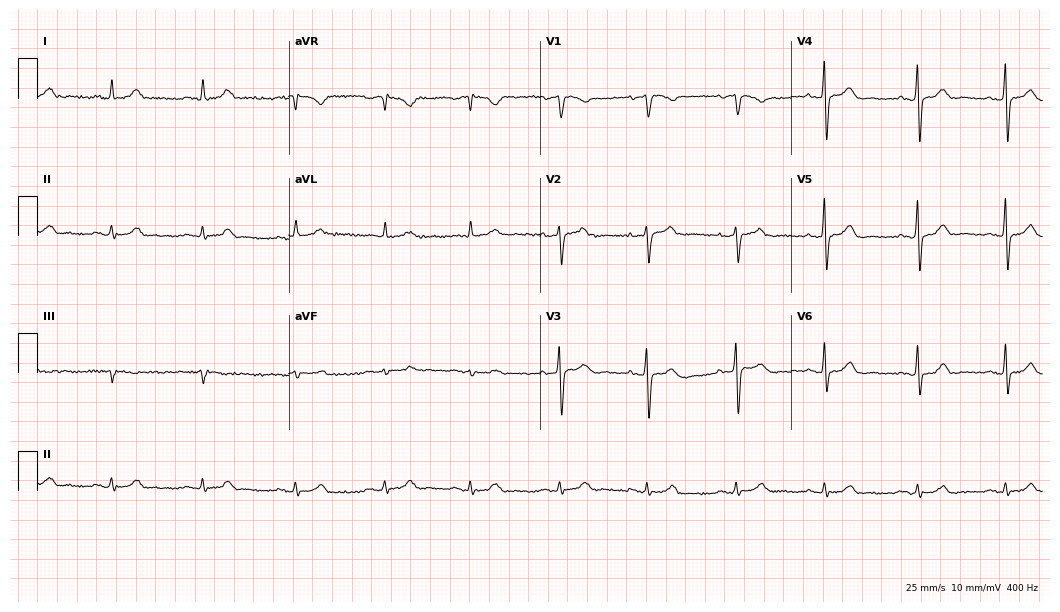
Standard 12-lead ECG recorded from a male patient, 33 years old (10.2-second recording at 400 Hz). Read as a normal ECG.